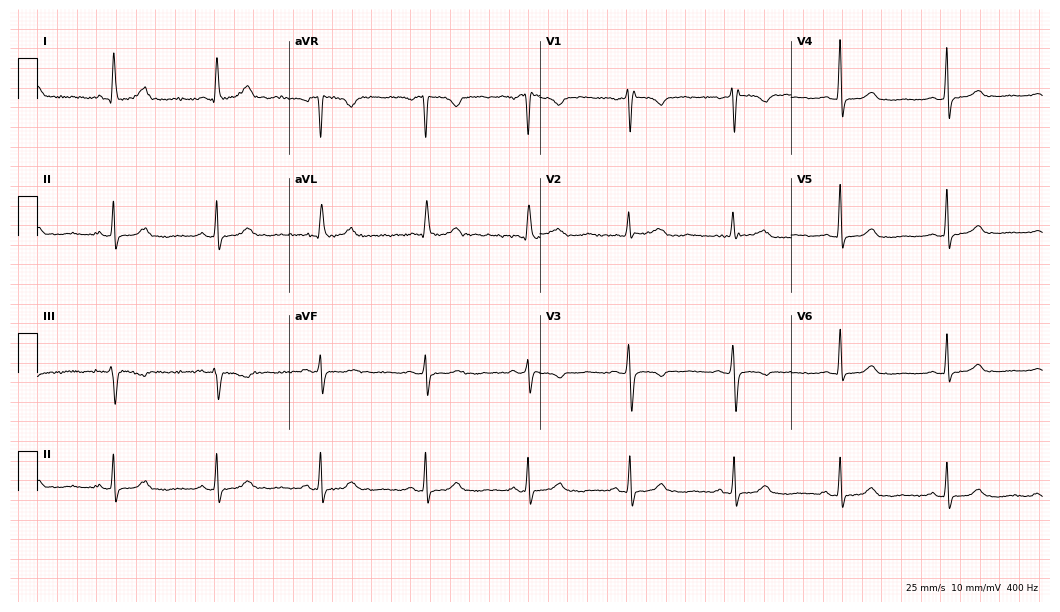
Standard 12-lead ECG recorded from a woman, 72 years old. None of these six findings is recorded: first-degree AV block, right bundle branch block, left bundle branch block, sinus bradycardia, atrial fibrillation, sinus tachycardia.